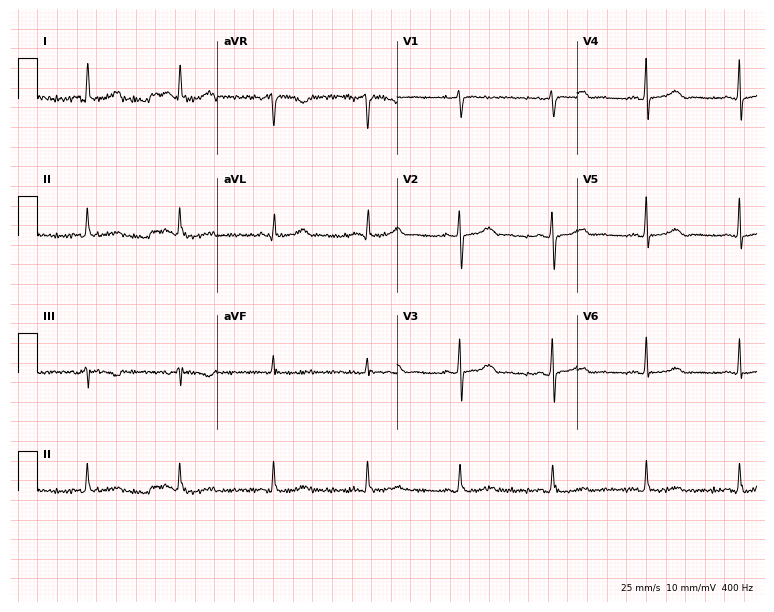
ECG (7.3-second recording at 400 Hz) — a female patient, 45 years old. Screened for six findings — first-degree AV block, right bundle branch block, left bundle branch block, sinus bradycardia, atrial fibrillation, sinus tachycardia — none is recorded. Findings outside these six are not listed.